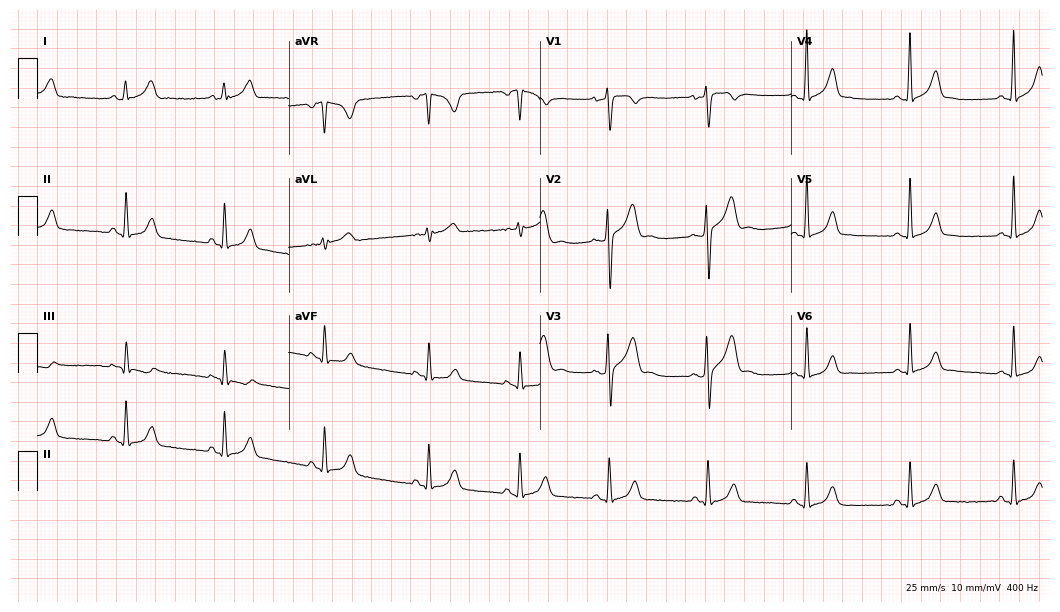
Resting 12-lead electrocardiogram. Patient: a 30-year-old male. None of these six findings is recorded: first-degree AV block, right bundle branch block, left bundle branch block, sinus bradycardia, atrial fibrillation, sinus tachycardia. Only these six findings were labelled.